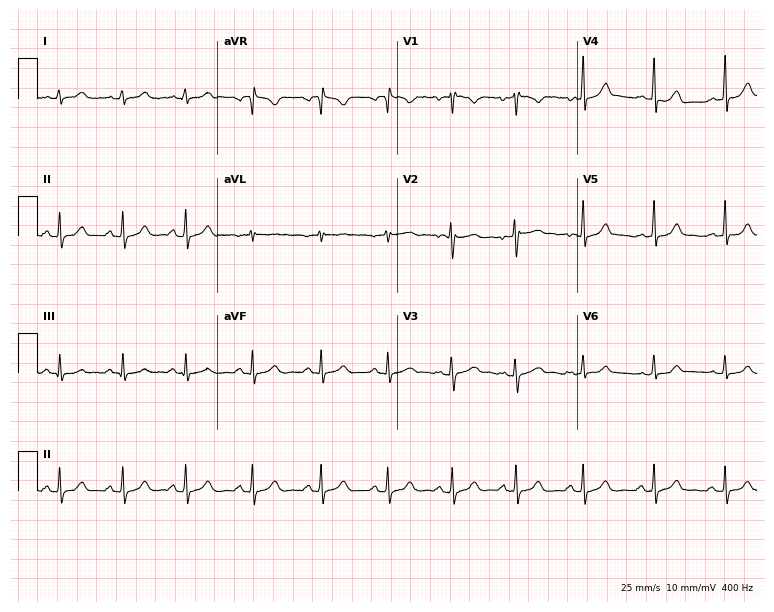
Standard 12-lead ECG recorded from a 24-year-old female (7.3-second recording at 400 Hz). None of these six findings is recorded: first-degree AV block, right bundle branch block, left bundle branch block, sinus bradycardia, atrial fibrillation, sinus tachycardia.